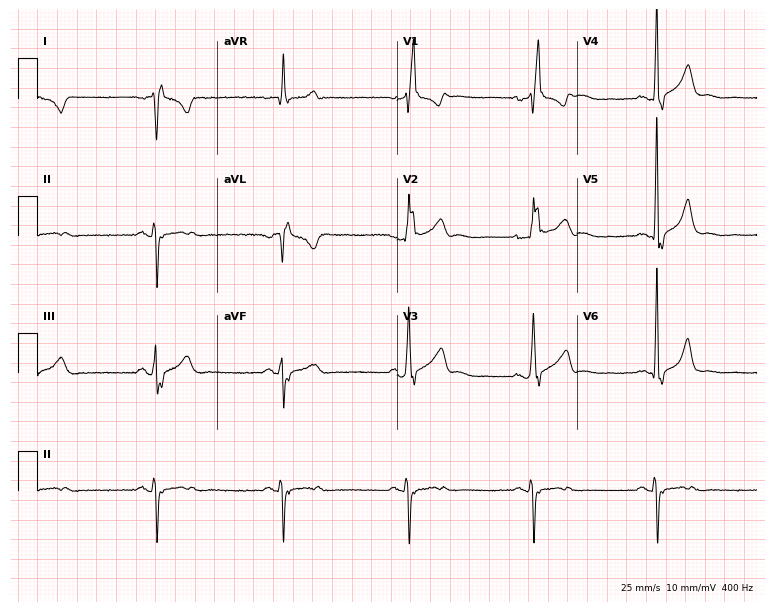
12-lead ECG (7.3-second recording at 400 Hz) from a male, 49 years old. Screened for six findings — first-degree AV block, right bundle branch block, left bundle branch block, sinus bradycardia, atrial fibrillation, sinus tachycardia — none is recorded.